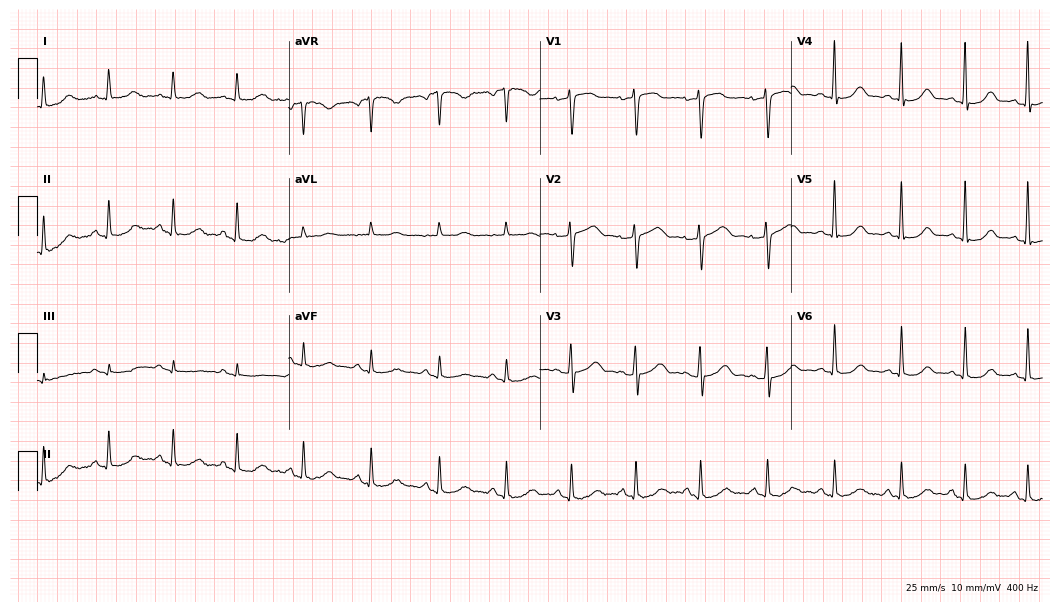
Standard 12-lead ECG recorded from a 51-year-old female. None of these six findings is recorded: first-degree AV block, right bundle branch block, left bundle branch block, sinus bradycardia, atrial fibrillation, sinus tachycardia. Only these six findings were labelled.